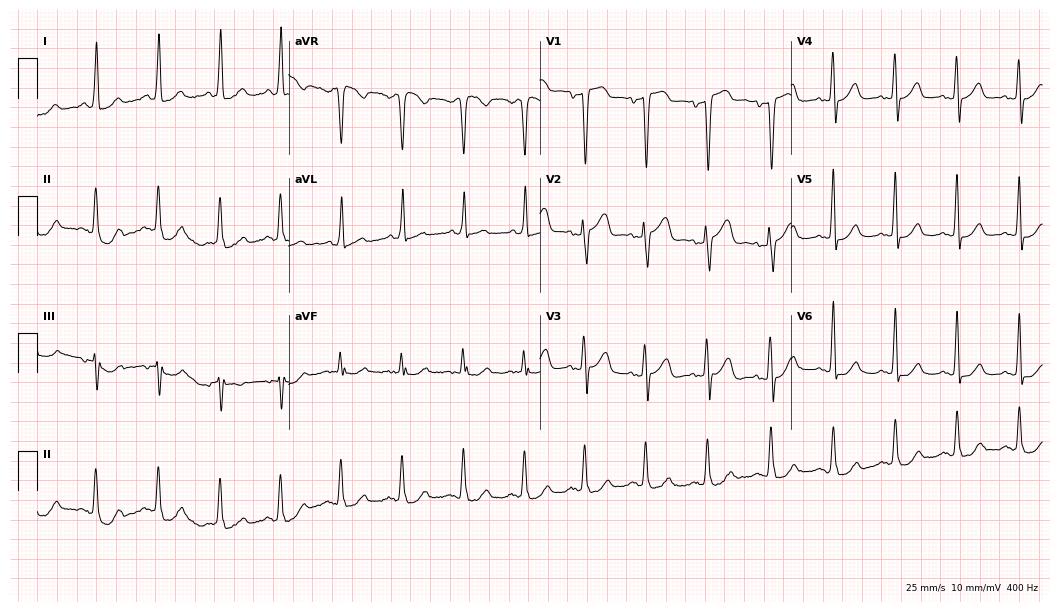
ECG — a female, 64 years old. Labelled as a normal ECG.